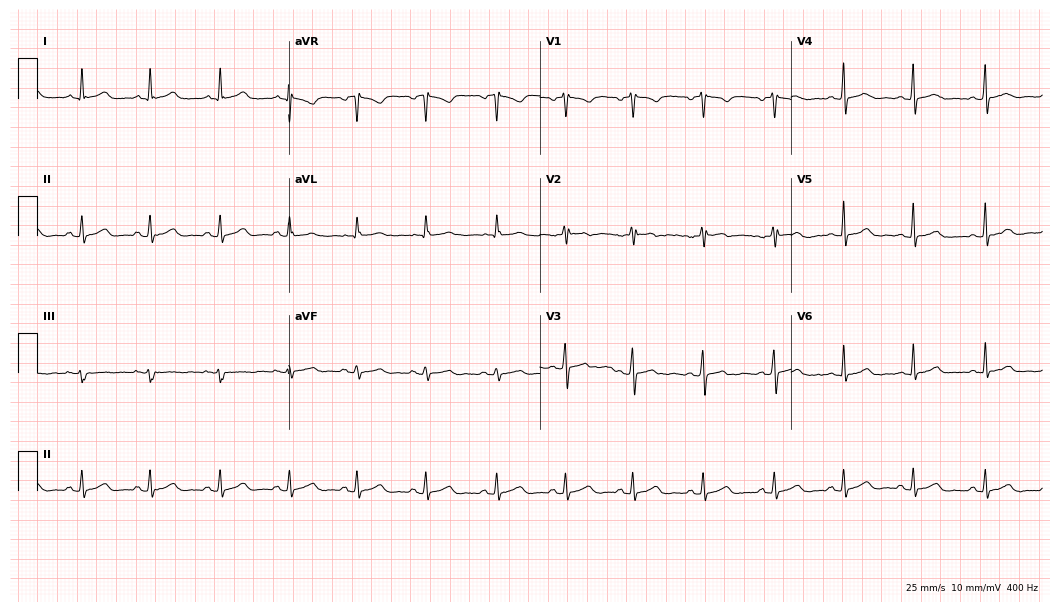
Electrocardiogram, a woman, 35 years old. Overall reading on record: normal ECG.